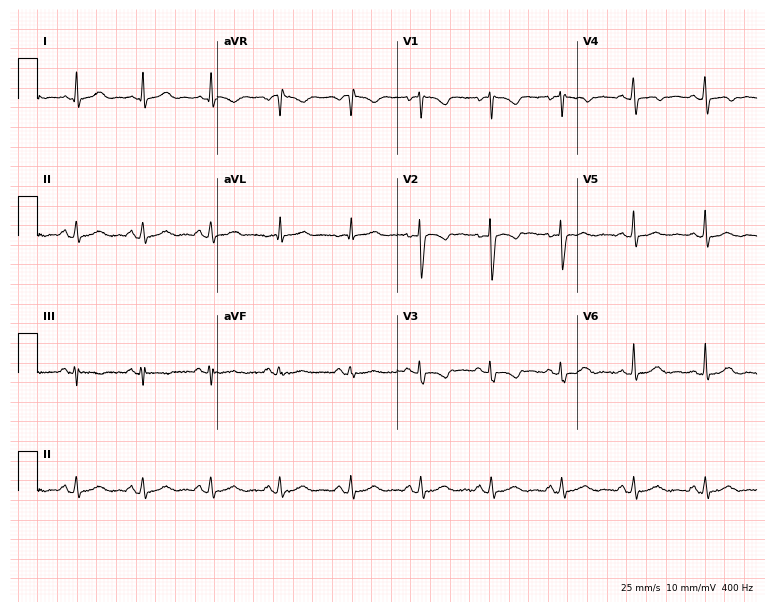
Resting 12-lead electrocardiogram (7.3-second recording at 400 Hz). Patient: a 24-year-old female. Read as a normal ECG.